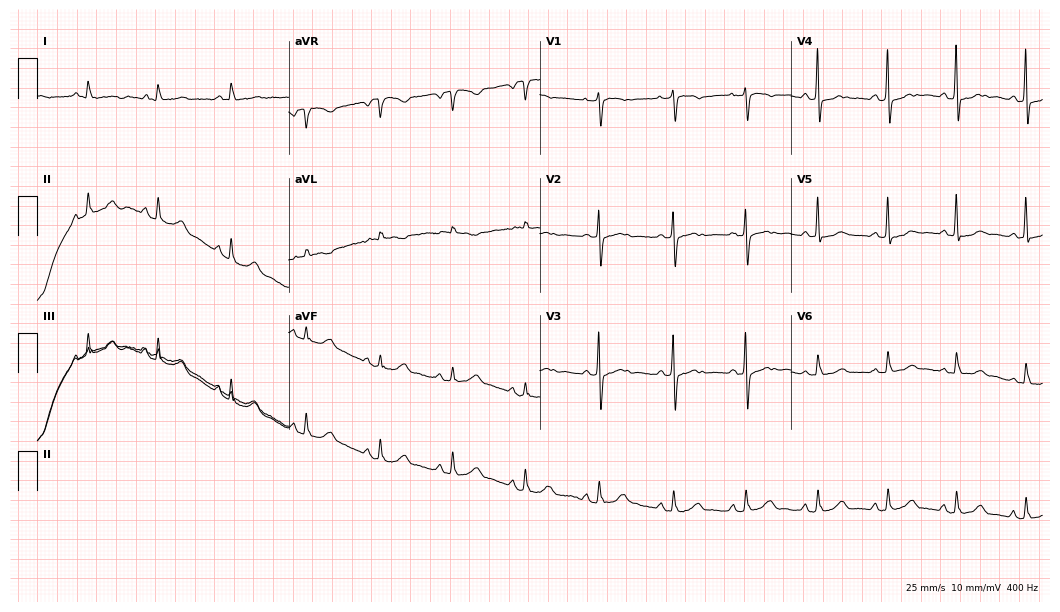
Resting 12-lead electrocardiogram. Patient: a woman, 67 years old. None of these six findings is recorded: first-degree AV block, right bundle branch block, left bundle branch block, sinus bradycardia, atrial fibrillation, sinus tachycardia. Only these six findings were labelled.